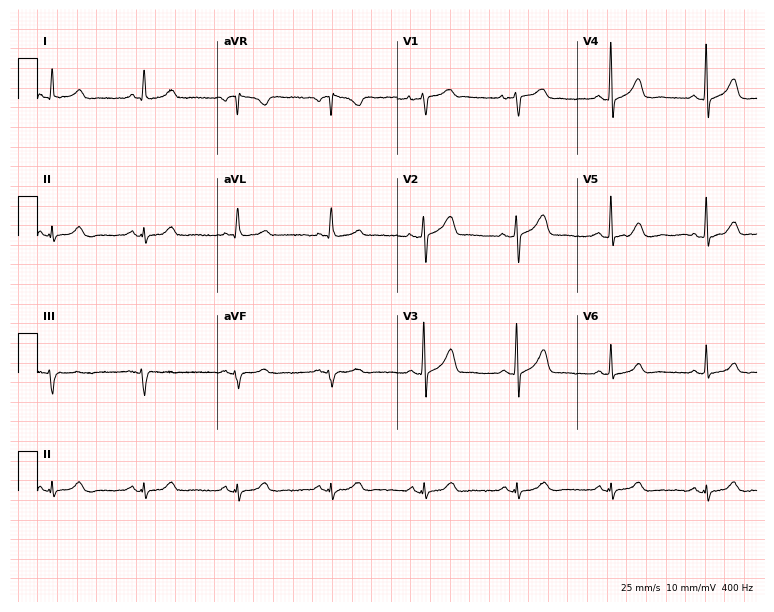
12-lead ECG from a 62-year-old female patient. Screened for six findings — first-degree AV block, right bundle branch block, left bundle branch block, sinus bradycardia, atrial fibrillation, sinus tachycardia — none is recorded.